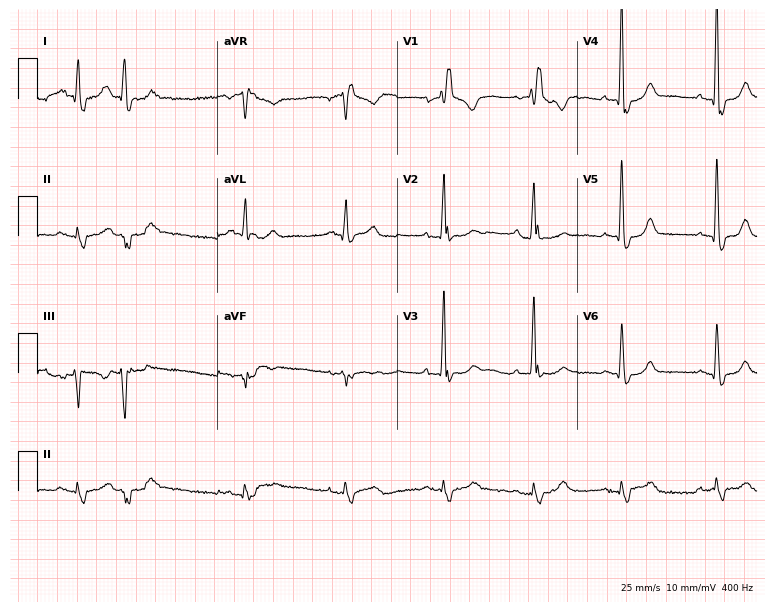
Resting 12-lead electrocardiogram (7.3-second recording at 400 Hz). Patient: a 73-year-old male. None of these six findings is recorded: first-degree AV block, right bundle branch block, left bundle branch block, sinus bradycardia, atrial fibrillation, sinus tachycardia.